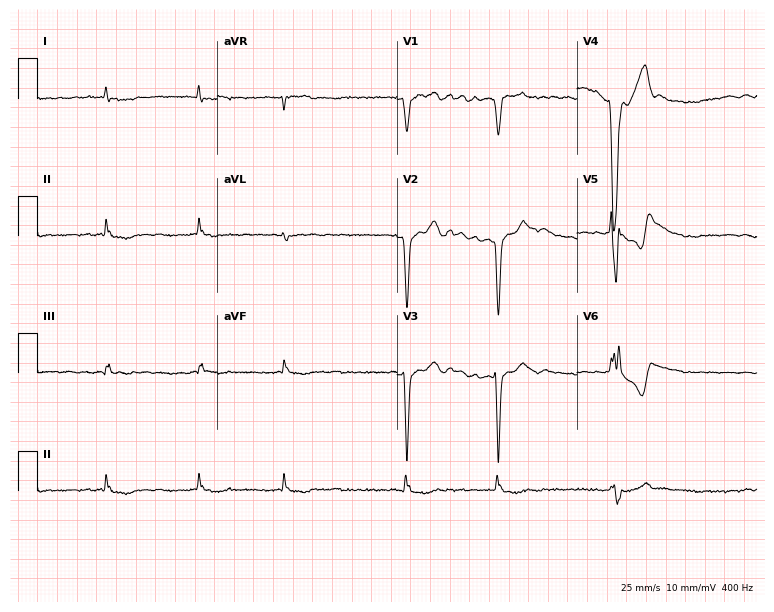
Resting 12-lead electrocardiogram. Patient: a man, 73 years old. None of these six findings is recorded: first-degree AV block, right bundle branch block (RBBB), left bundle branch block (LBBB), sinus bradycardia, atrial fibrillation (AF), sinus tachycardia.